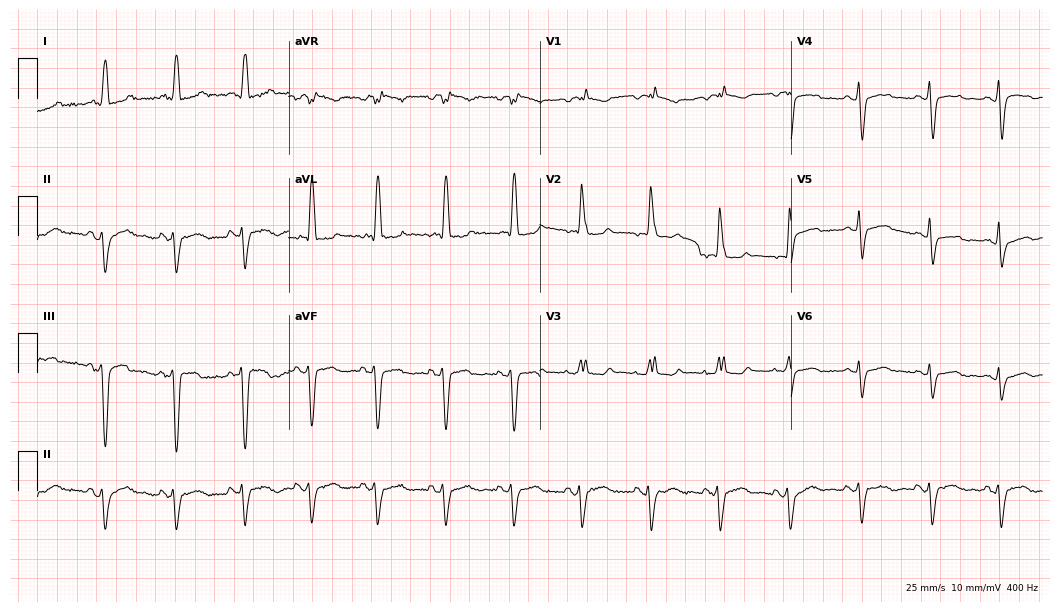
ECG (10.2-second recording at 400 Hz) — a female, 51 years old. Screened for six findings — first-degree AV block, right bundle branch block, left bundle branch block, sinus bradycardia, atrial fibrillation, sinus tachycardia — none is recorded. Only these six findings were labelled.